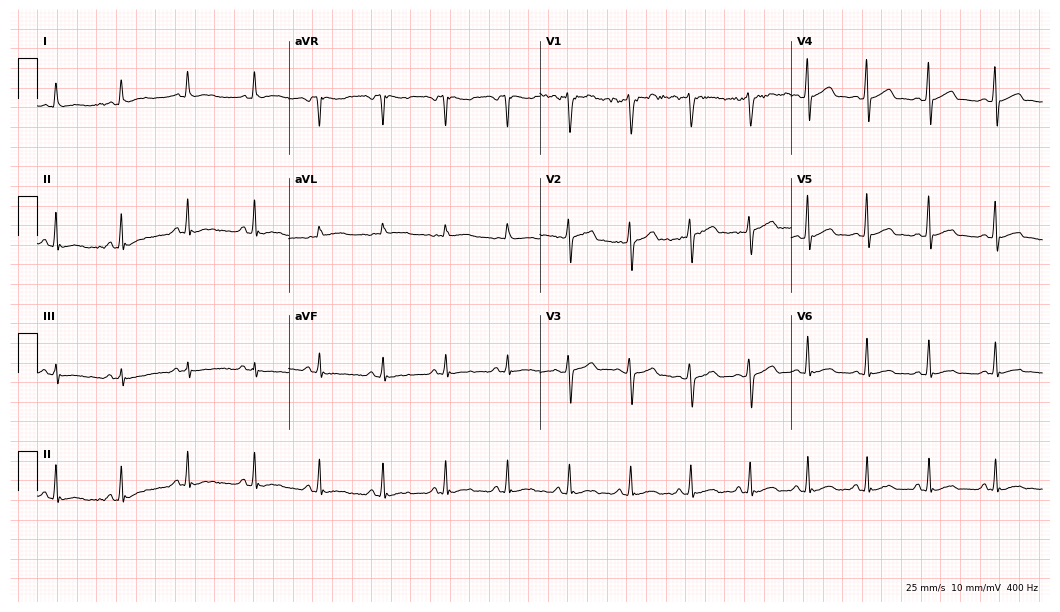
12-lead ECG from a 37-year-old male patient (10.2-second recording at 400 Hz). Recorded interpretation: within normal limits.